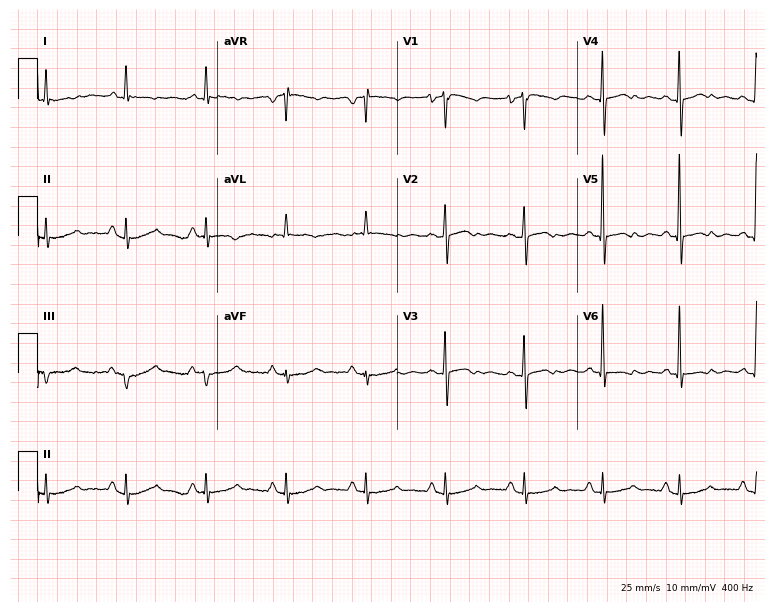
12-lead ECG (7.3-second recording at 400 Hz) from a 74-year-old female. Screened for six findings — first-degree AV block, right bundle branch block, left bundle branch block, sinus bradycardia, atrial fibrillation, sinus tachycardia — none is recorded.